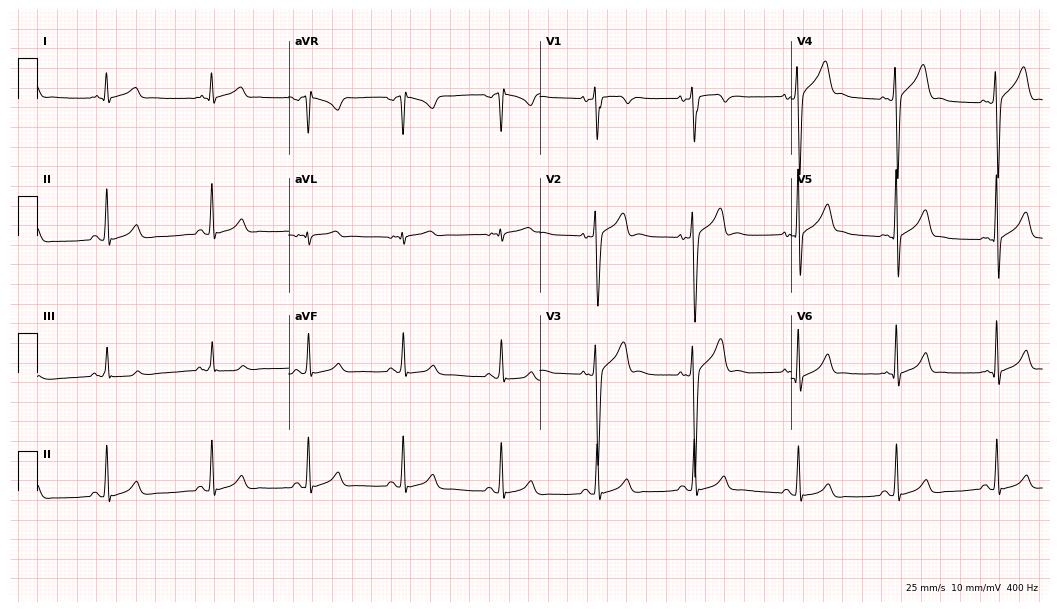
Resting 12-lead electrocardiogram (10.2-second recording at 400 Hz). Patient: a male, 22 years old. None of these six findings is recorded: first-degree AV block, right bundle branch block (RBBB), left bundle branch block (LBBB), sinus bradycardia, atrial fibrillation (AF), sinus tachycardia.